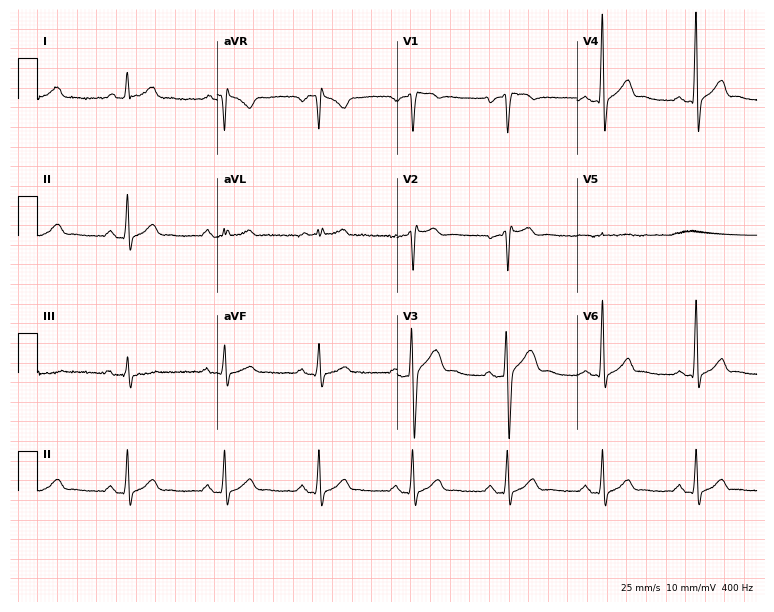
12-lead ECG from a male patient, 33 years old. Recorded interpretation: within normal limits.